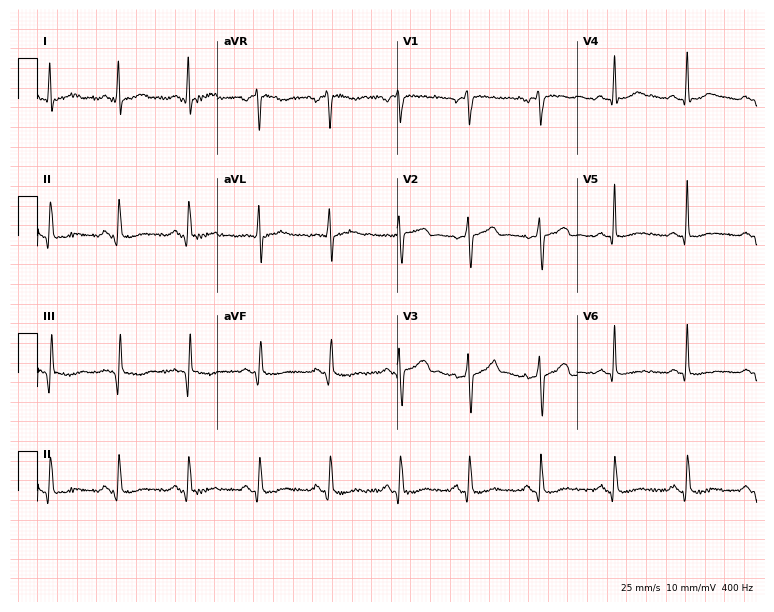
ECG — a male patient, 78 years old. Screened for six findings — first-degree AV block, right bundle branch block, left bundle branch block, sinus bradycardia, atrial fibrillation, sinus tachycardia — none is recorded. Findings outside these six are not listed.